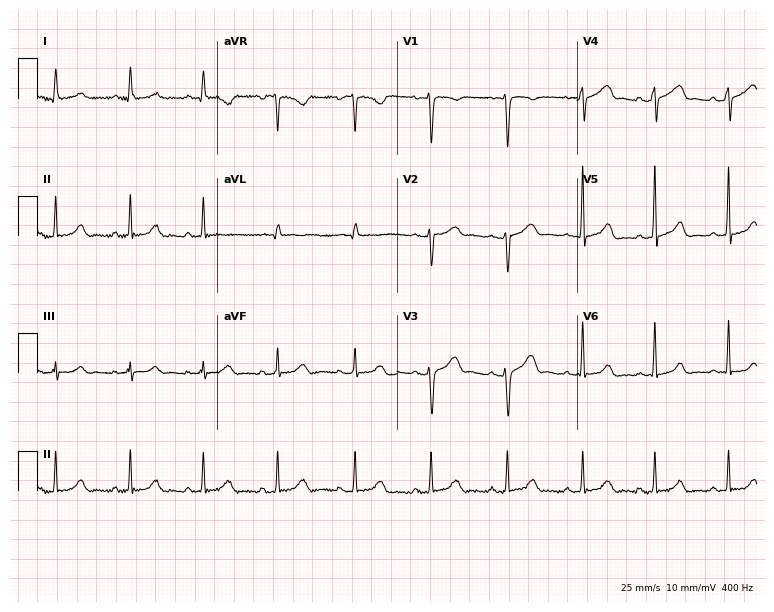
Standard 12-lead ECG recorded from a 26-year-old female. None of these six findings is recorded: first-degree AV block, right bundle branch block, left bundle branch block, sinus bradycardia, atrial fibrillation, sinus tachycardia.